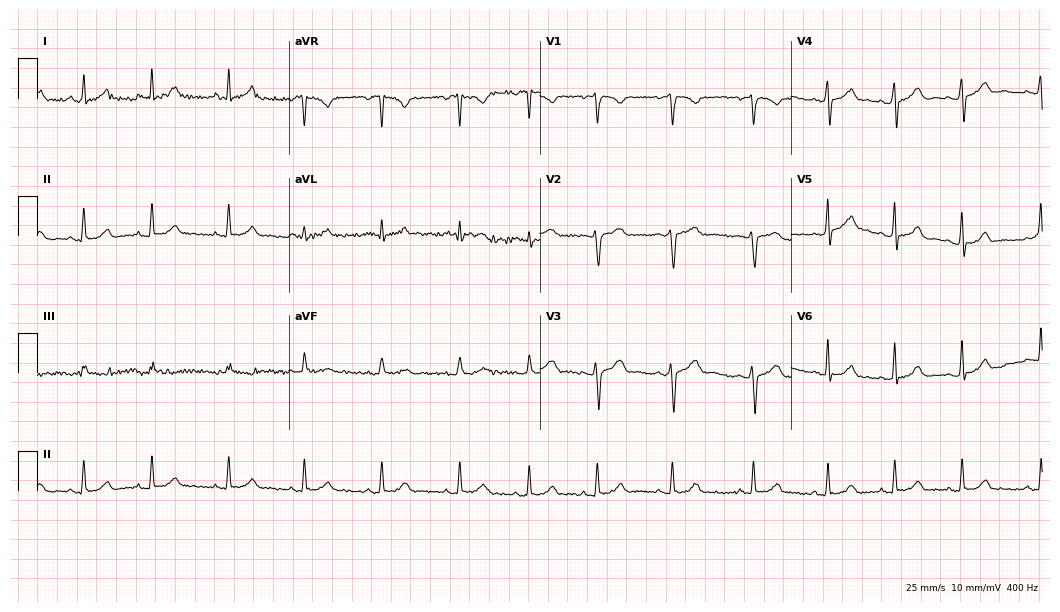
12-lead ECG from an 18-year-old female patient. Labelled as a normal ECG.